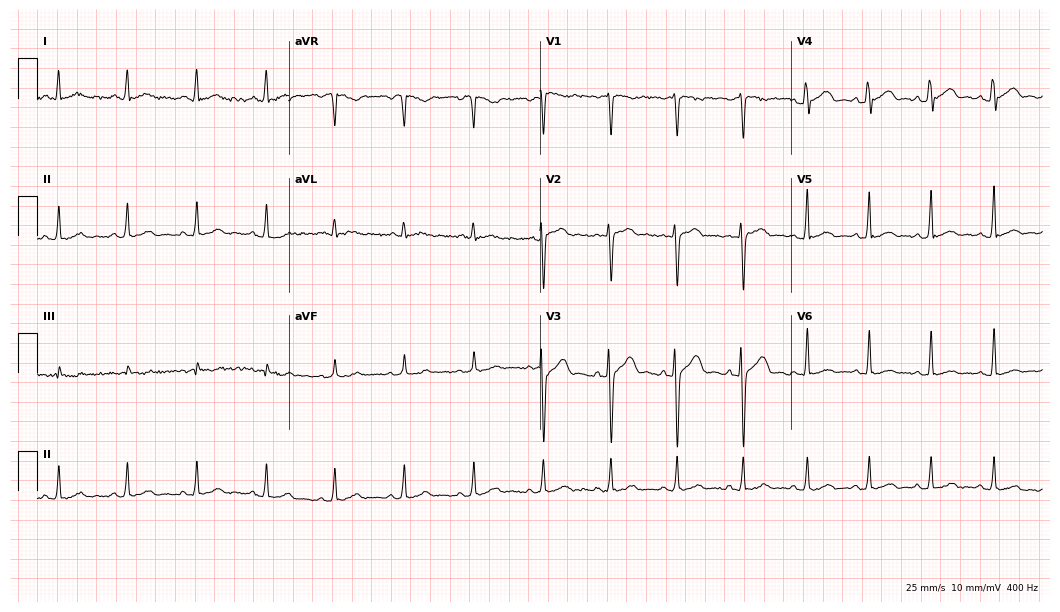
ECG — a 29-year-old man. Labelled as a normal ECG.